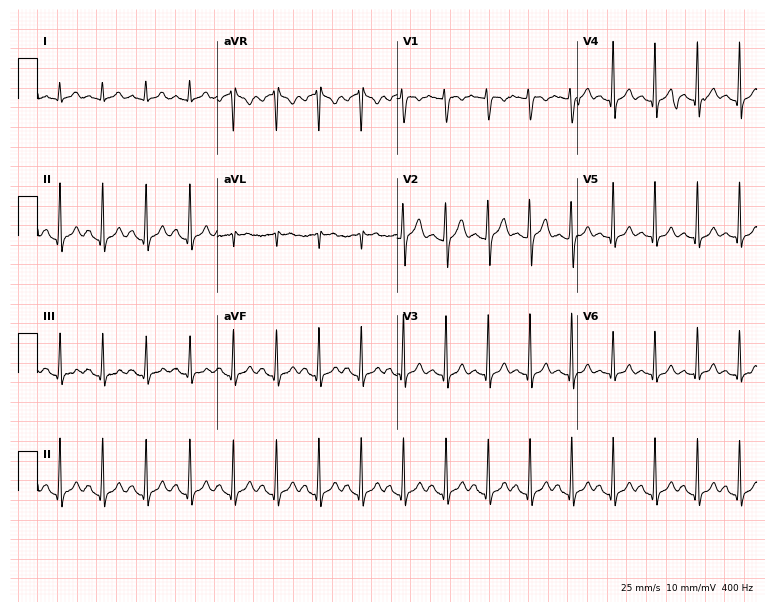
12-lead ECG (7.3-second recording at 400 Hz) from a 26-year-old woman. Findings include sinus tachycardia (a sinus rate of 100 beats per minute or more).